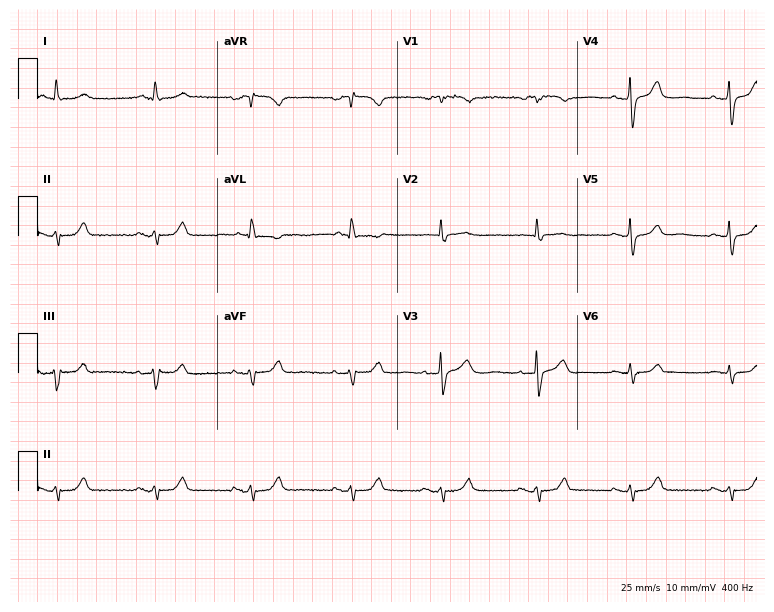
Resting 12-lead electrocardiogram. Patient: a 78-year-old female. None of these six findings is recorded: first-degree AV block, right bundle branch block (RBBB), left bundle branch block (LBBB), sinus bradycardia, atrial fibrillation (AF), sinus tachycardia.